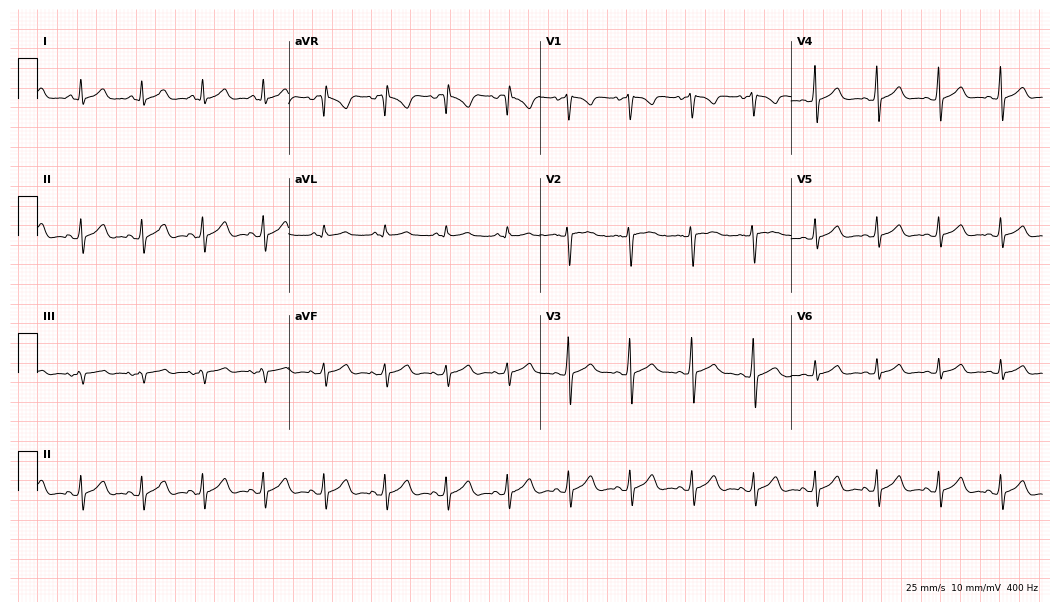
Standard 12-lead ECG recorded from a 36-year-old male patient (10.2-second recording at 400 Hz). Read as a normal ECG.